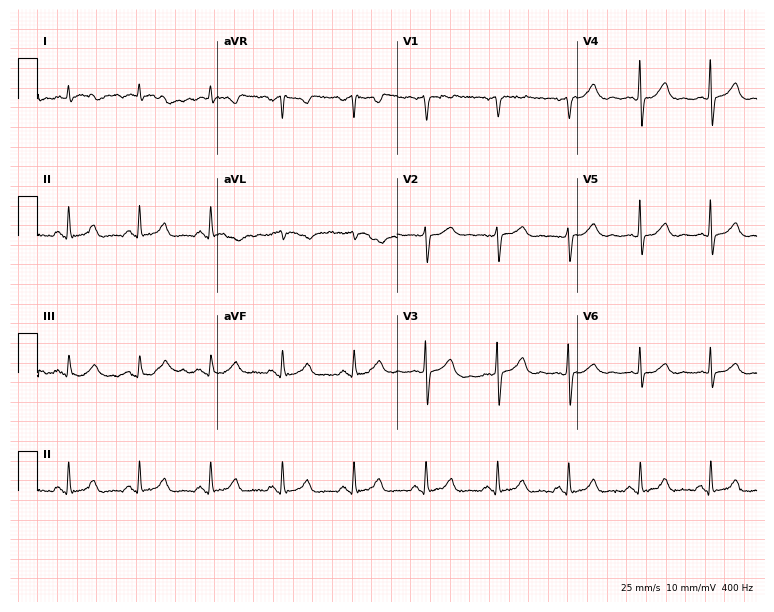
Standard 12-lead ECG recorded from a 74-year-old male. None of these six findings is recorded: first-degree AV block, right bundle branch block, left bundle branch block, sinus bradycardia, atrial fibrillation, sinus tachycardia.